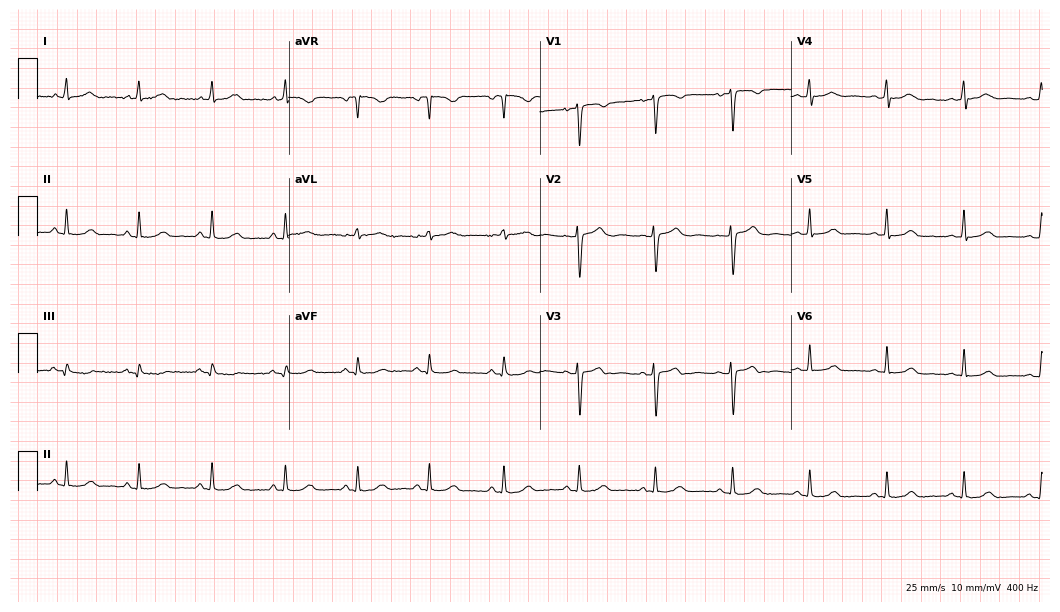
12-lead ECG from a 38-year-old female (10.2-second recording at 400 Hz). Recorded interpretation: within normal limits.